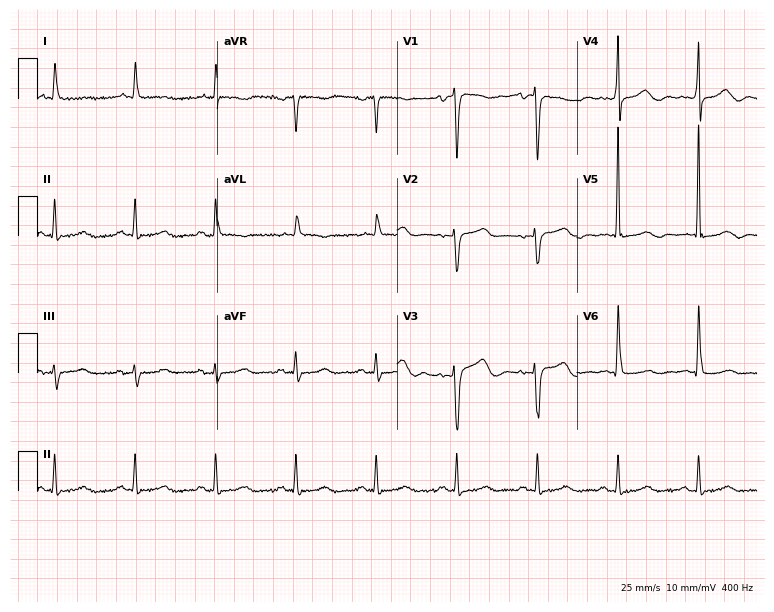
Standard 12-lead ECG recorded from an 80-year-old woman (7.3-second recording at 400 Hz). None of these six findings is recorded: first-degree AV block, right bundle branch block (RBBB), left bundle branch block (LBBB), sinus bradycardia, atrial fibrillation (AF), sinus tachycardia. Only these six findings were labelled.